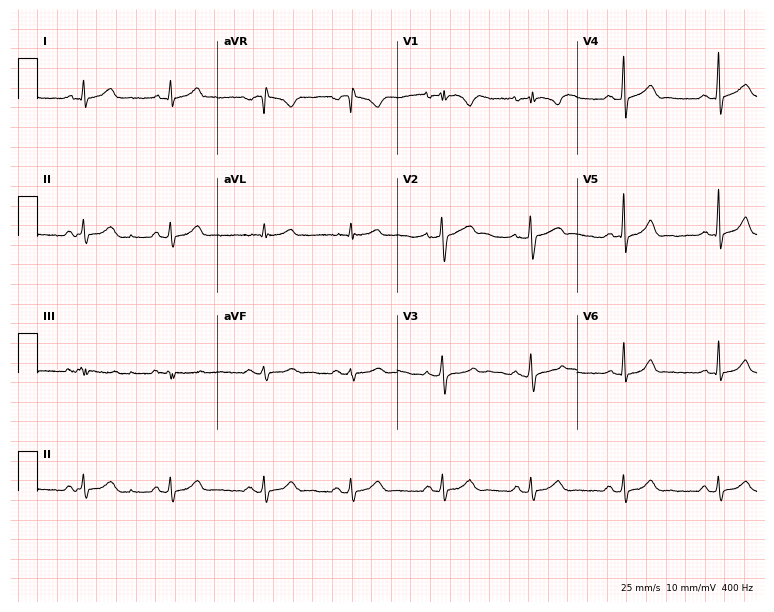
ECG — a 25-year-old woman. Screened for six findings — first-degree AV block, right bundle branch block, left bundle branch block, sinus bradycardia, atrial fibrillation, sinus tachycardia — none is recorded.